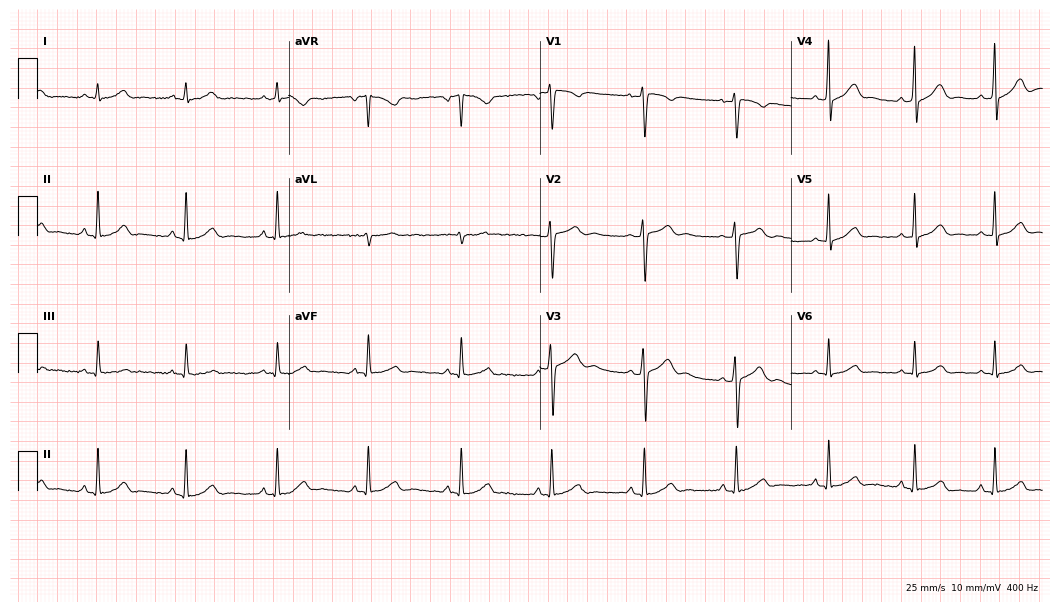
Standard 12-lead ECG recorded from a male patient, 20 years old. None of these six findings is recorded: first-degree AV block, right bundle branch block (RBBB), left bundle branch block (LBBB), sinus bradycardia, atrial fibrillation (AF), sinus tachycardia.